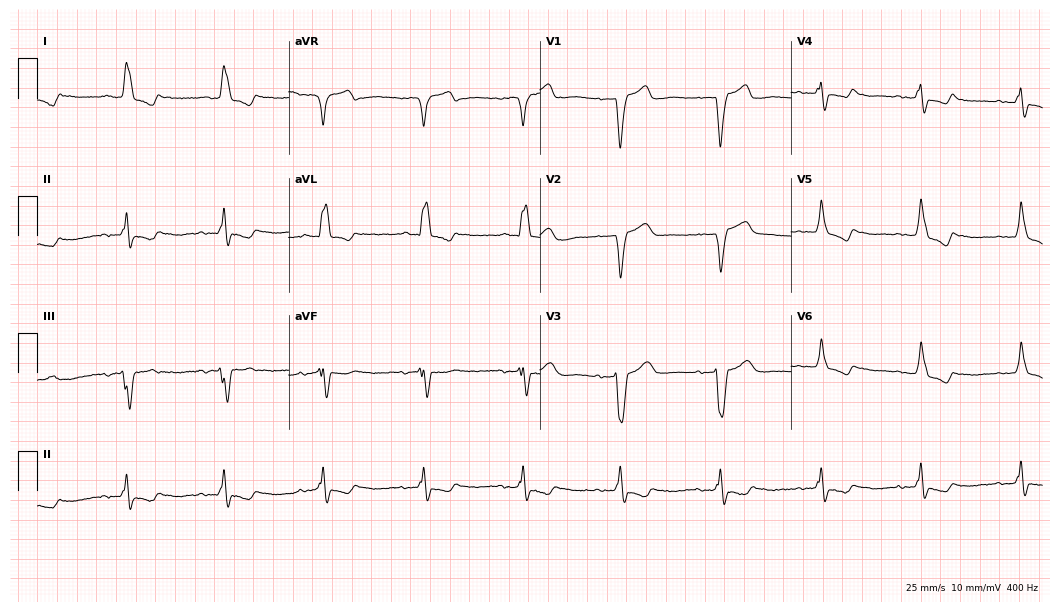
12-lead ECG from a female, 76 years old. Findings include left bundle branch block (LBBB).